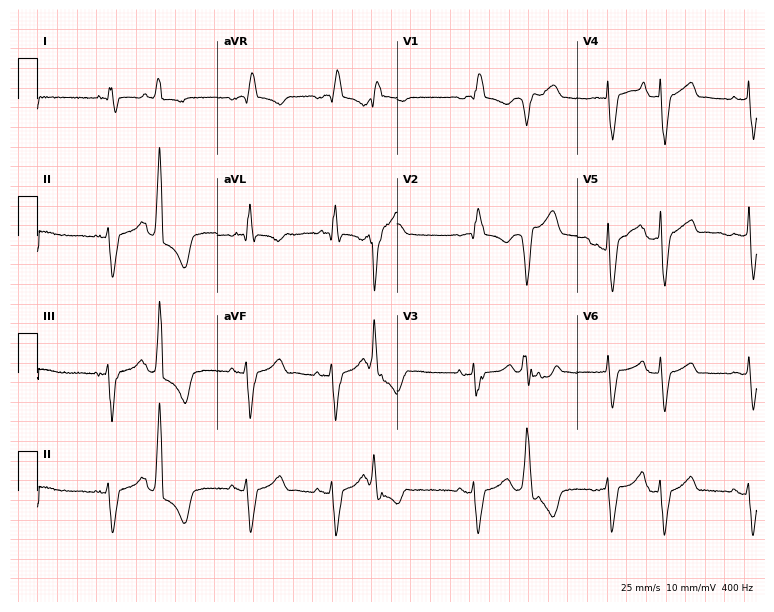
12-lead ECG (7.3-second recording at 400 Hz) from a woman, 79 years old. Findings include right bundle branch block (RBBB).